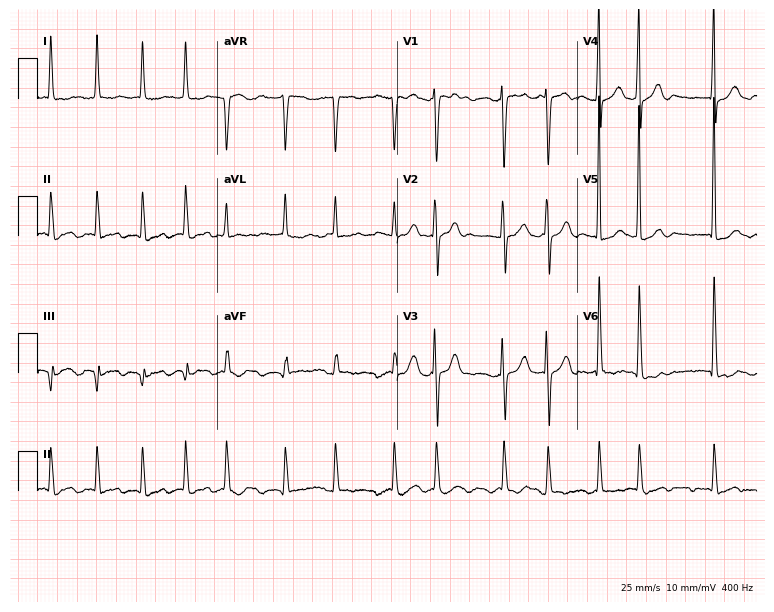
12-lead ECG from a female patient, 79 years old. Shows atrial fibrillation.